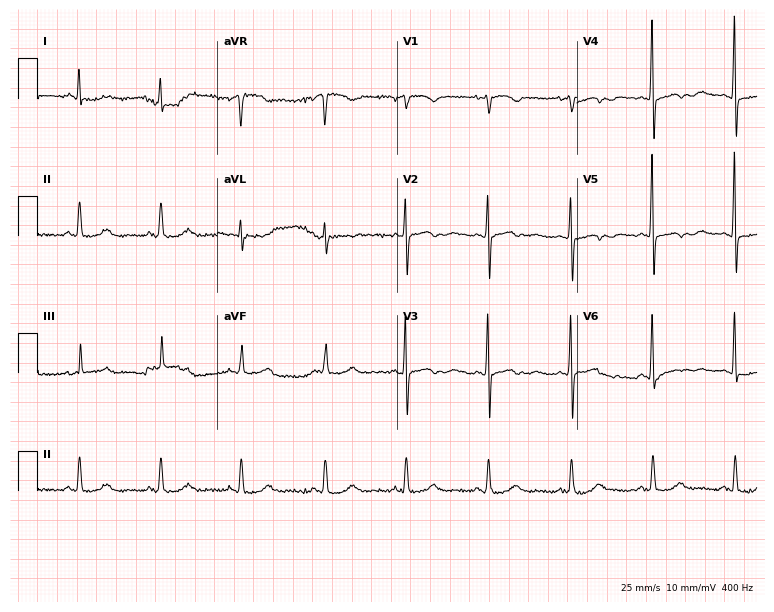
Standard 12-lead ECG recorded from a 69-year-old woman (7.3-second recording at 400 Hz). None of these six findings is recorded: first-degree AV block, right bundle branch block (RBBB), left bundle branch block (LBBB), sinus bradycardia, atrial fibrillation (AF), sinus tachycardia.